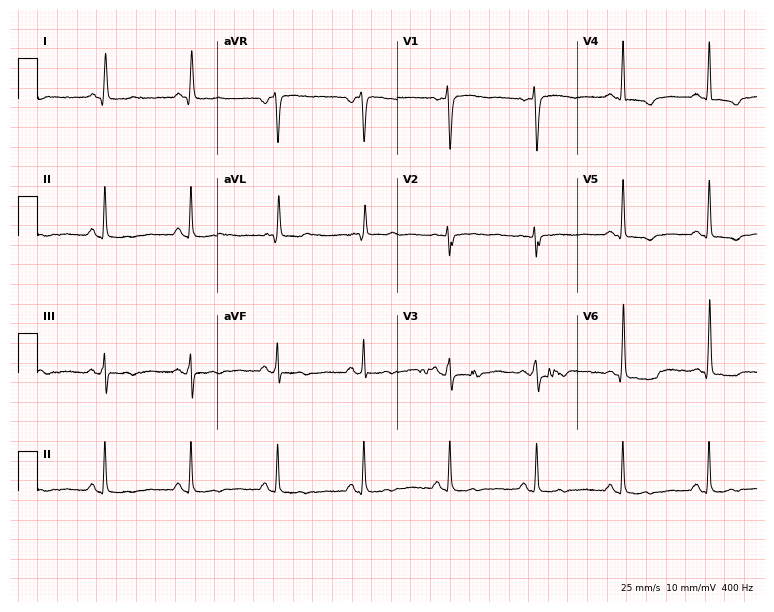
Electrocardiogram, a 67-year-old female patient. Of the six screened findings (first-degree AV block, right bundle branch block (RBBB), left bundle branch block (LBBB), sinus bradycardia, atrial fibrillation (AF), sinus tachycardia), none is recorded. Other findings, if any, are not listed.